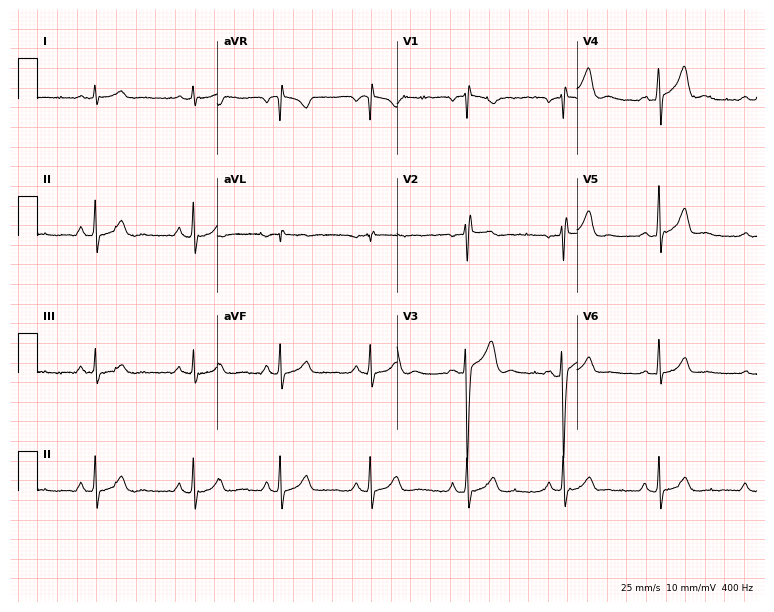
12-lead ECG from a man, 26 years old. No first-degree AV block, right bundle branch block (RBBB), left bundle branch block (LBBB), sinus bradycardia, atrial fibrillation (AF) or sinus tachycardia recorded for this tracing. Only these six findings were labelled.